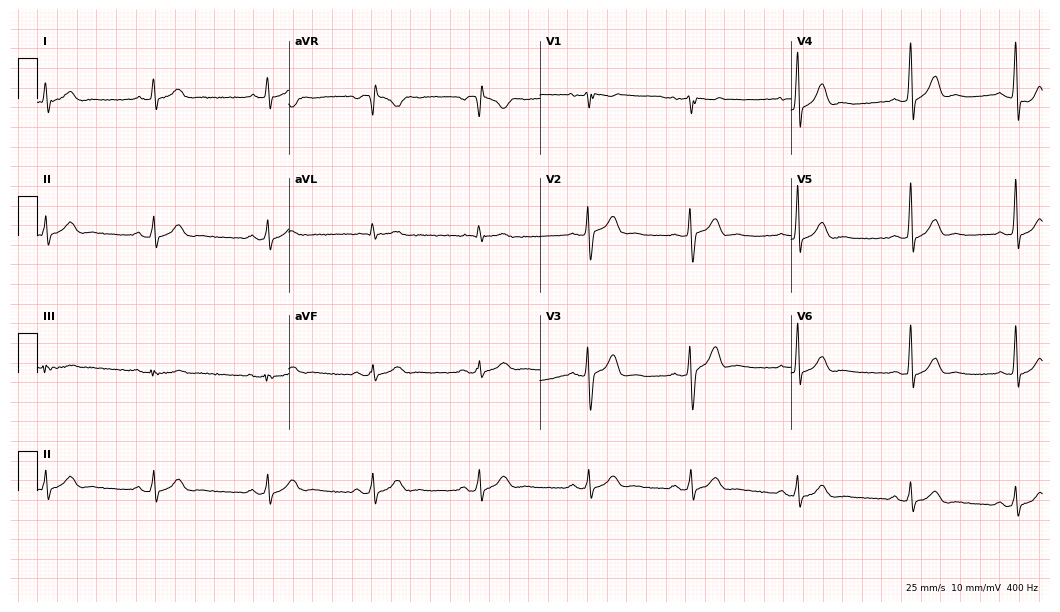
Electrocardiogram (10.2-second recording at 400 Hz), a 39-year-old man. Overall reading on record: normal ECG.